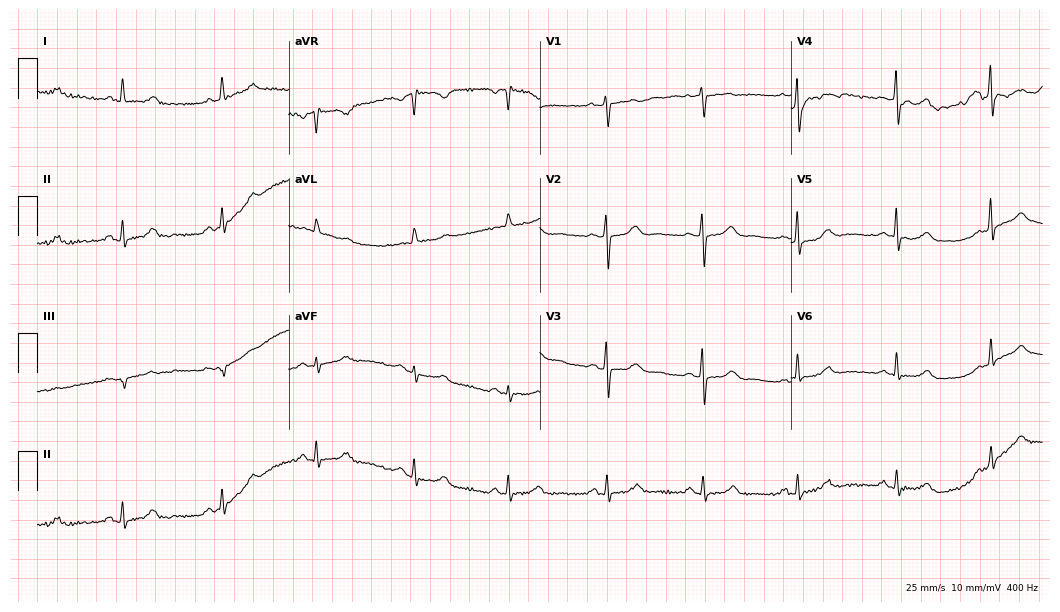
Electrocardiogram, a 72-year-old female patient. Overall reading on record: normal ECG.